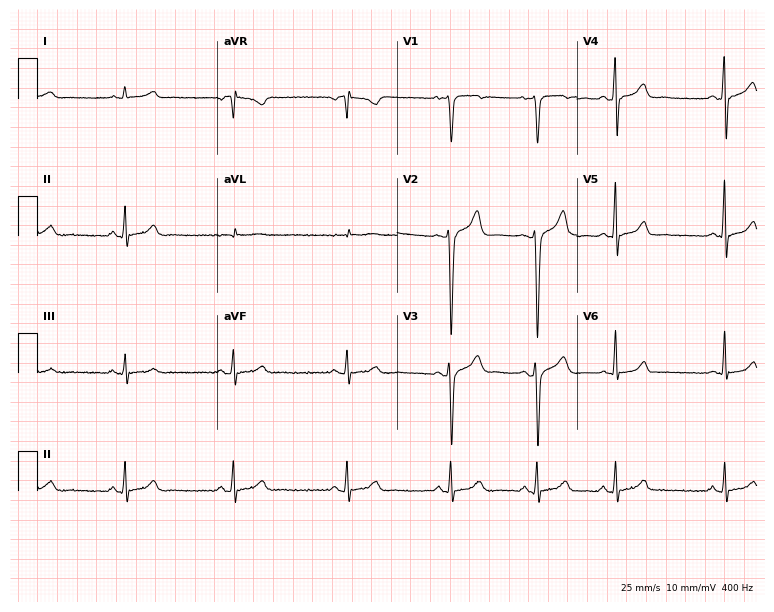
12-lead ECG from a 41-year-old female. Labelled as a normal ECG.